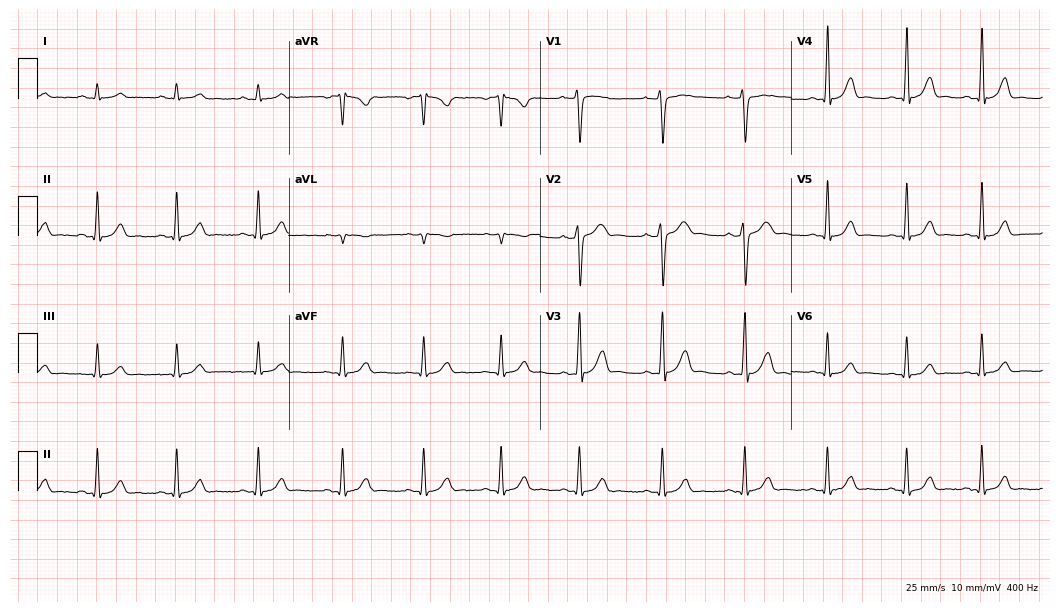
Resting 12-lead electrocardiogram. Patient: a male, 38 years old. None of these six findings is recorded: first-degree AV block, right bundle branch block, left bundle branch block, sinus bradycardia, atrial fibrillation, sinus tachycardia. Other findings, if any, are not listed.